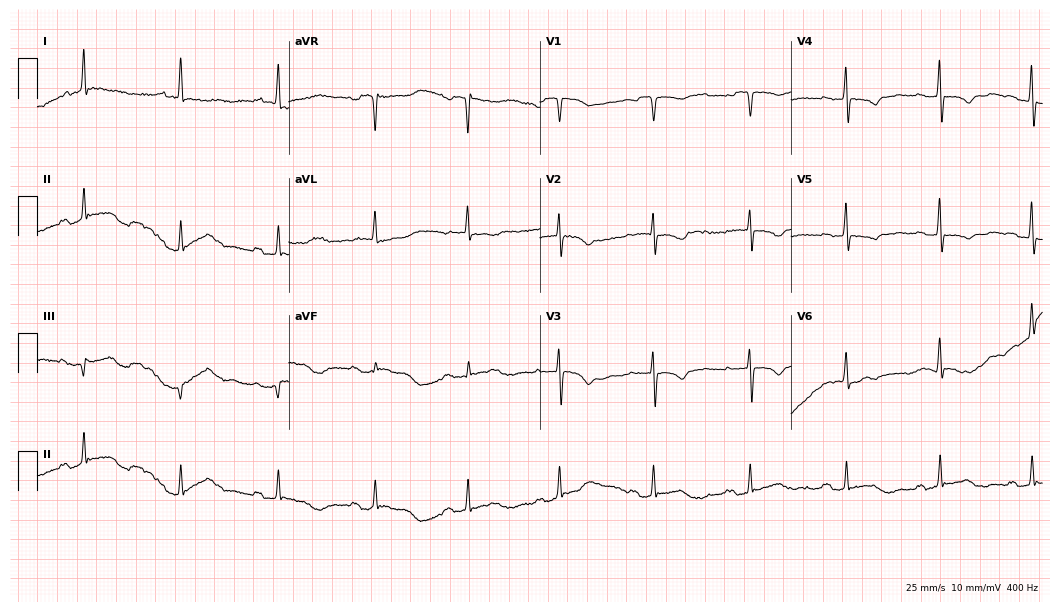
Resting 12-lead electrocardiogram. Patient: an 84-year-old woman. None of these six findings is recorded: first-degree AV block, right bundle branch block (RBBB), left bundle branch block (LBBB), sinus bradycardia, atrial fibrillation (AF), sinus tachycardia. Only these six findings were labelled.